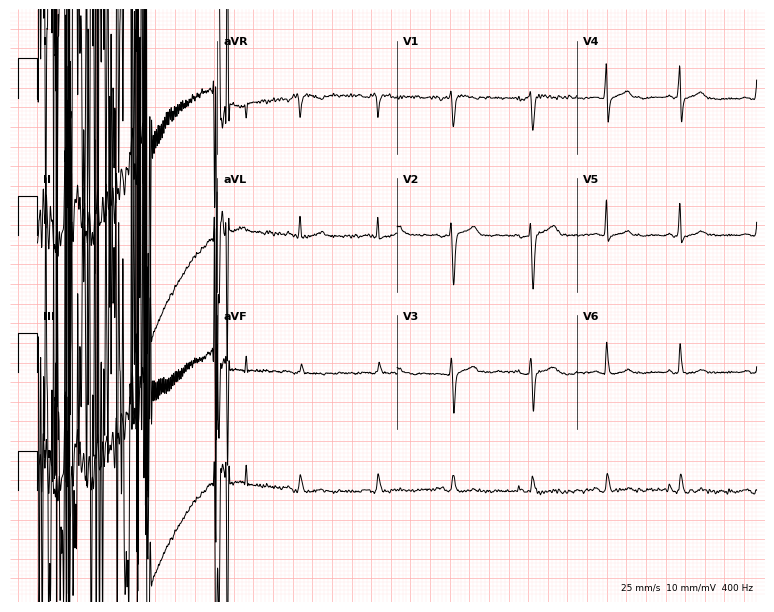
Electrocardiogram, a female patient, 47 years old. Of the six screened findings (first-degree AV block, right bundle branch block, left bundle branch block, sinus bradycardia, atrial fibrillation, sinus tachycardia), none is recorded.